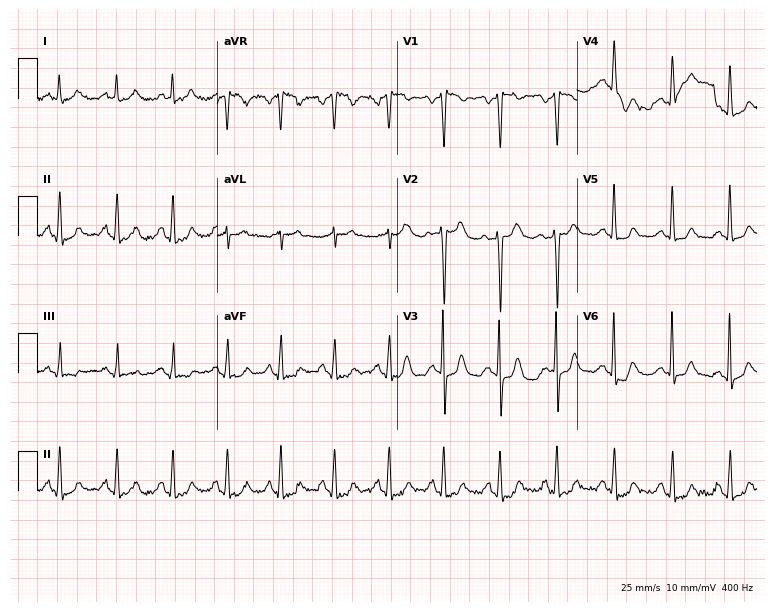
Electrocardiogram (7.3-second recording at 400 Hz), a female patient, 43 years old. Interpretation includes sinus tachycardia (a sinus rate of 100 beats per minute or more).